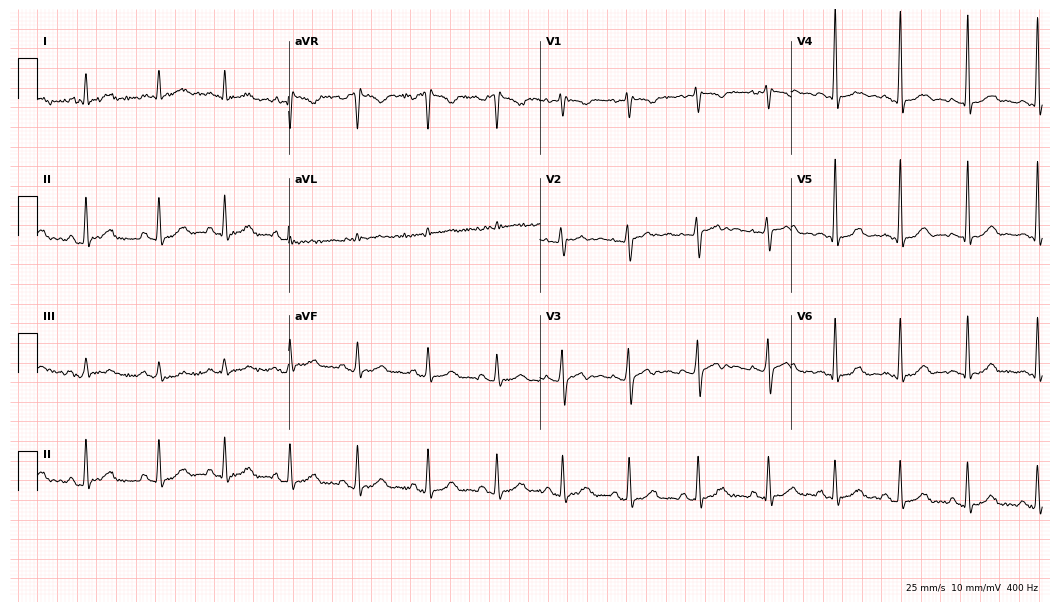
ECG (10.2-second recording at 400 Hz) — a 47-year-old woman. Labelled as a normal ECG.